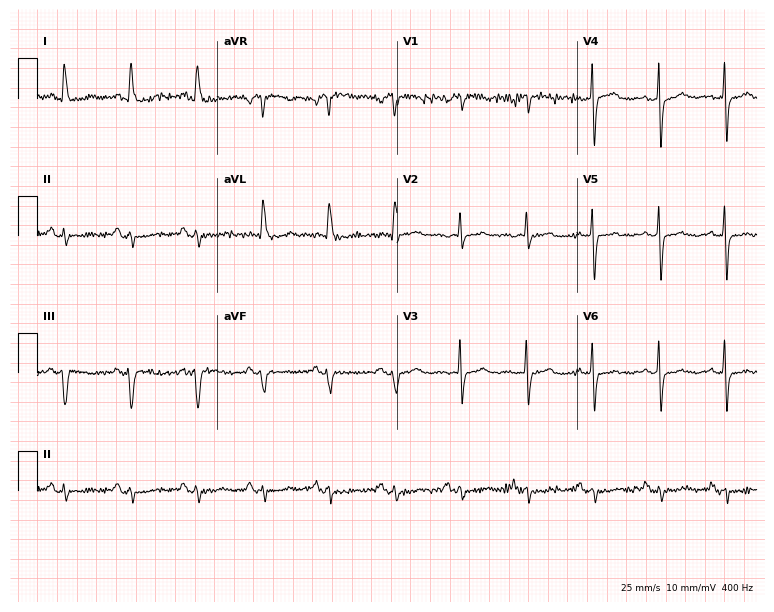
Electrocardiogram, a female patient, 71 years old. Of the six screened findings (first-degree AV block, right bundle branch block (RBBB), left bundle branch block (LBBB), sinus bradycardia, atrial fibrillation (AF), sinus tachycardia), none is recorded. Other findings, if any, are not listed.